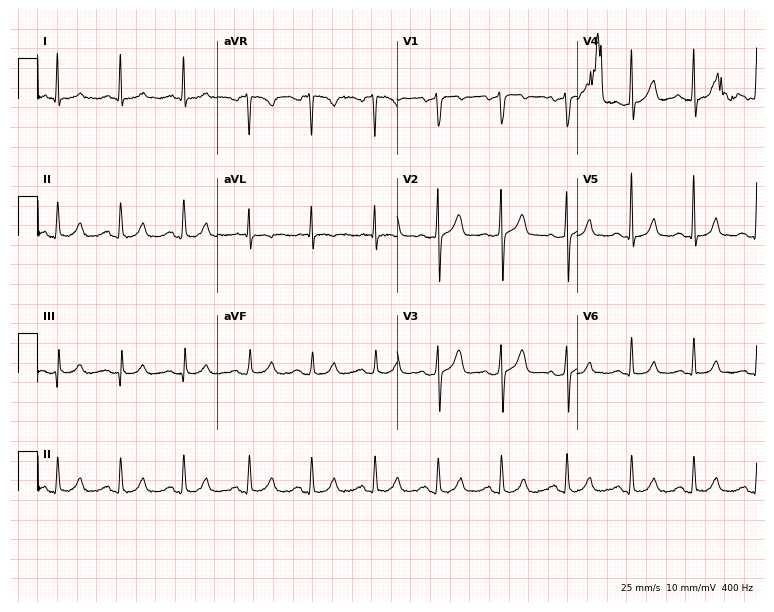
12-lead ECG (7.3-second recording at 400 Hz) from a male, 50 years old. Labelled as a normal ECG.